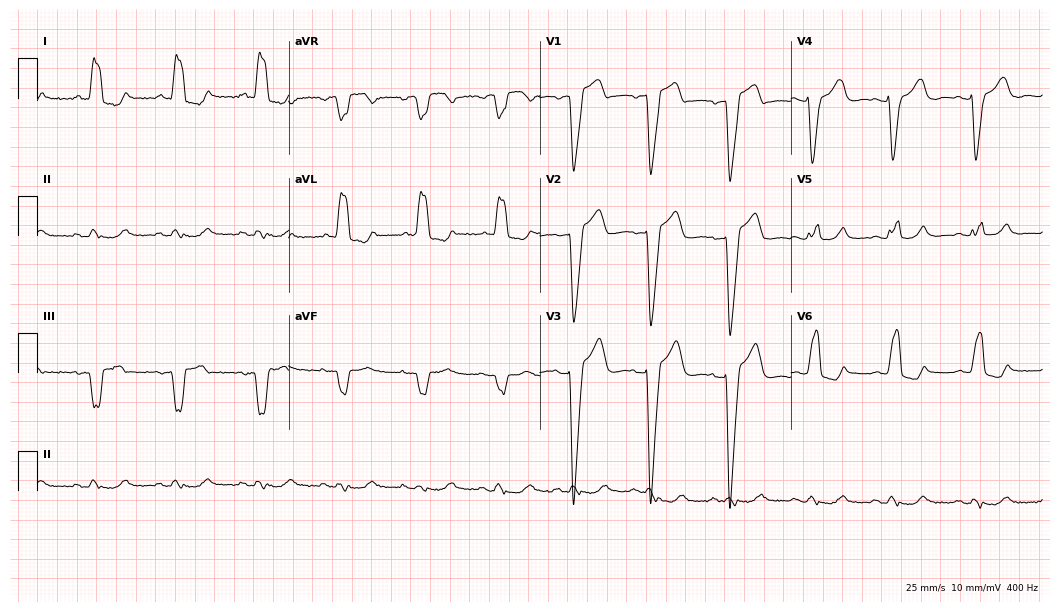
Electrocardiogram (10.2-second recording at 400 Hz), a female patient, 68 years old. Interpretation includes left bundle branch block (LBBB).